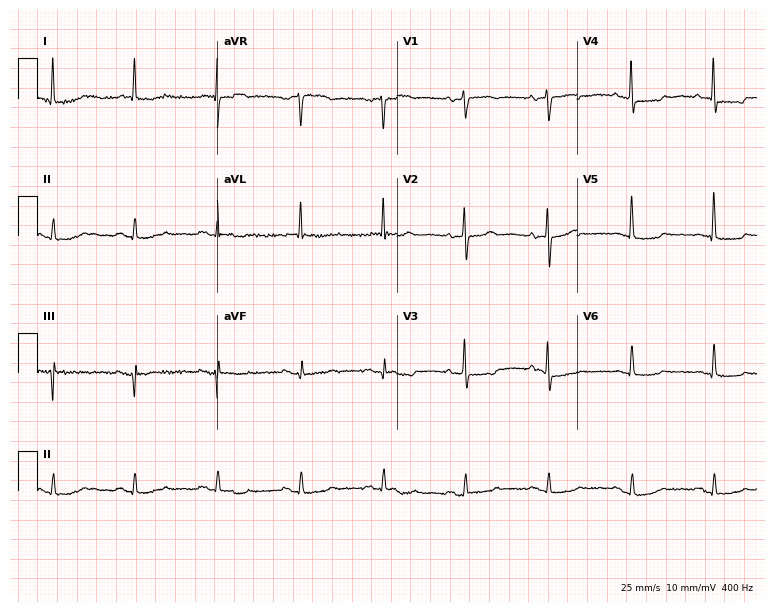
12-lead ECG from a female, 76 years old (7.3-second recording at 400 Hz). No first-degree AV block, right bundle branch block, left bundle branch block, sinus bradycardia, atrial fibrillation or sinus tachycardia recorded for this tracing.